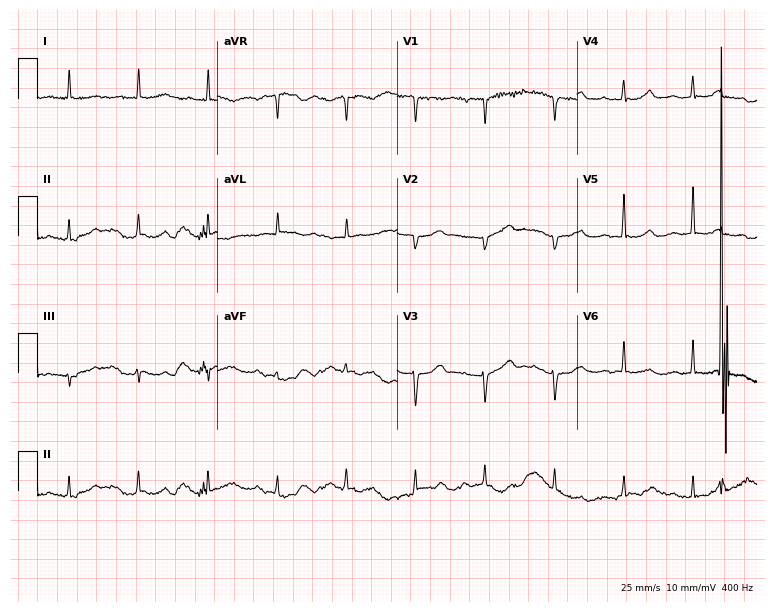
Electrocardiogram (7.3-second recording at 400 Hz), a female patient, 81 years old. Overall reading on record: normal ECG.